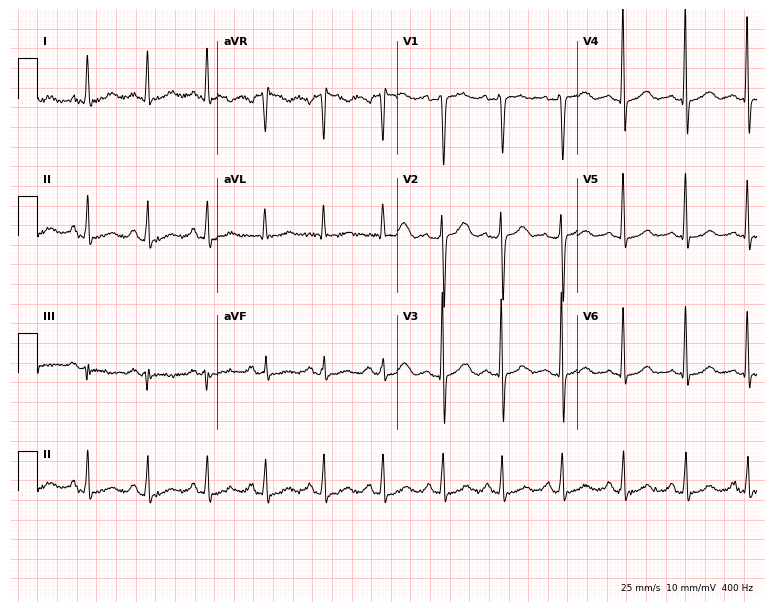
Standard 12-lead ECG recorded from a 52-year-old female. None of these six findings is recorded: first-degree AV block, right bundle branch block (RBBB), left bundle branch block (LBBB), sinus bradycardia, atrial fibrillation (AF), sinus tachycardia. Findings outside these six are not listed.